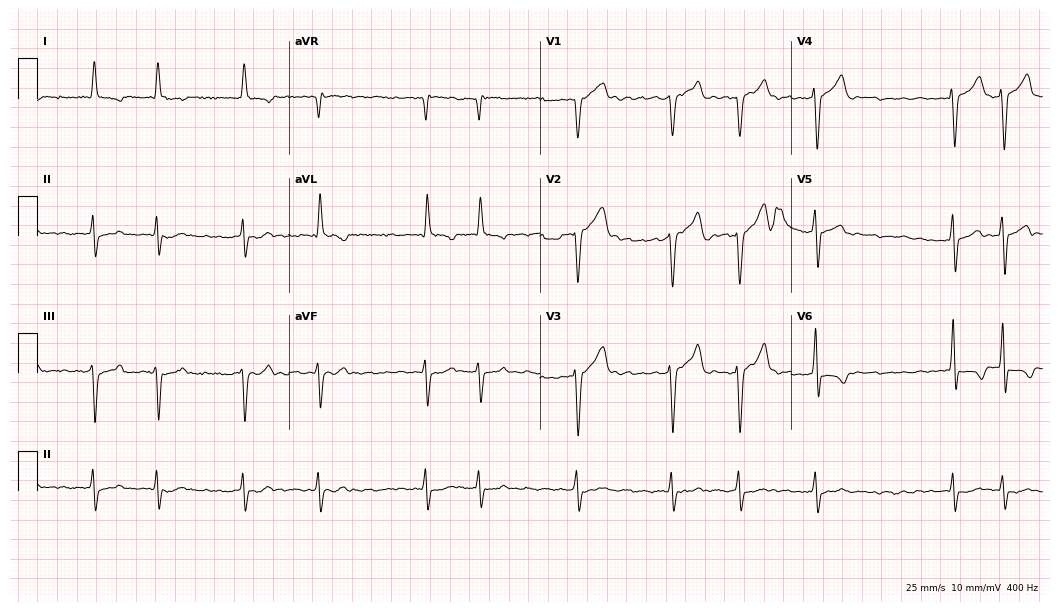
Standard 12-lead ECG recorded from a male patient, 78 years old. The tracing shows atrial fibrillation.